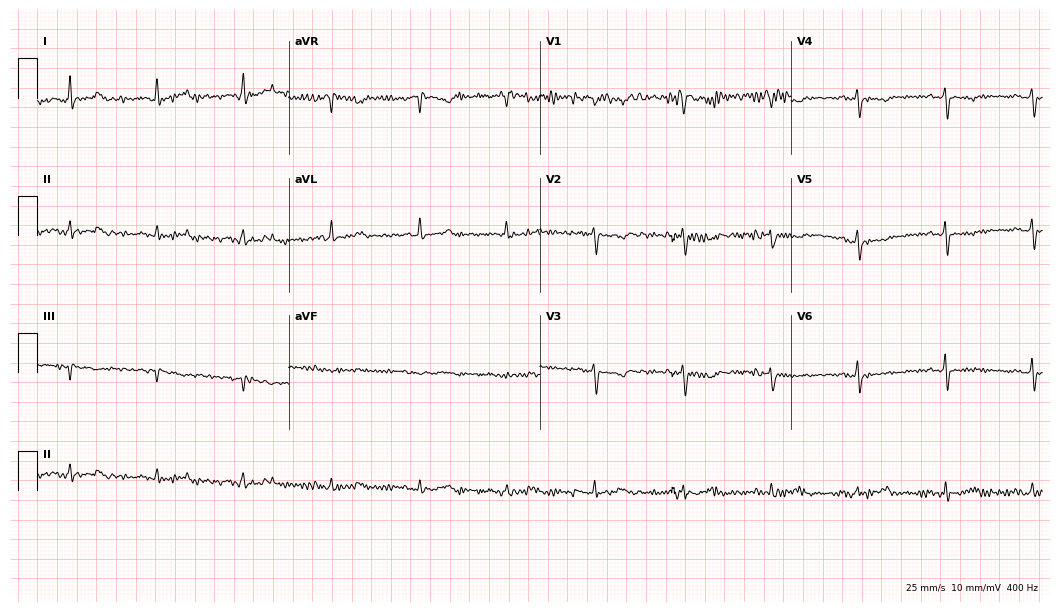
12-lead ECG from a 70-year-old female patient. Screened for six findings — first-degree AV block, right bundle branch block, left bundle branch block, sinus bradycardia, atrial fibrillation, sinus tachycardia — none is recorded.